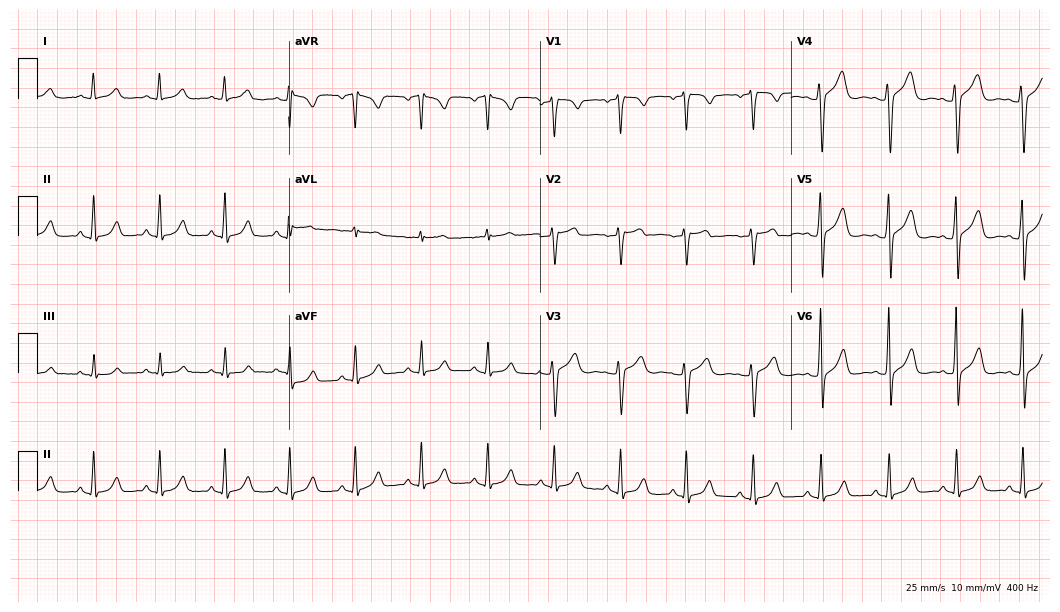
12-lead ECG (10.2-second recording at 400 Hz) from a female, 40 years old. Labelled as a normal ECG.